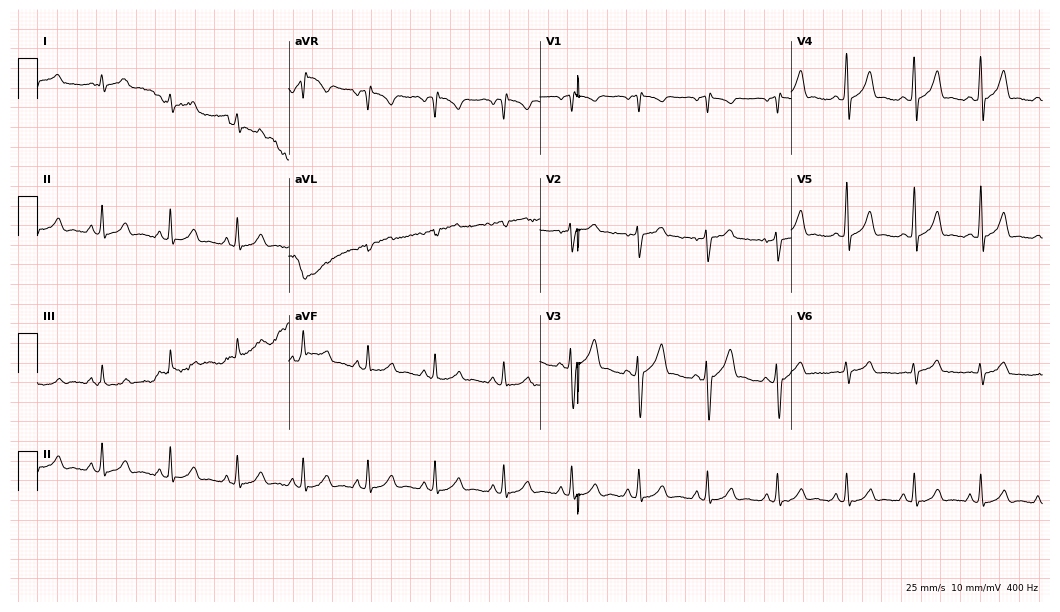
Resting 12-lead electrocardiogram. Patient: a male, 38 years old. None of these six findings is recorded: first-degree AV block, right bundle branch block, left bundle branch block, sinus bradycardia, atrial fibrillation, sinus tachycardia.